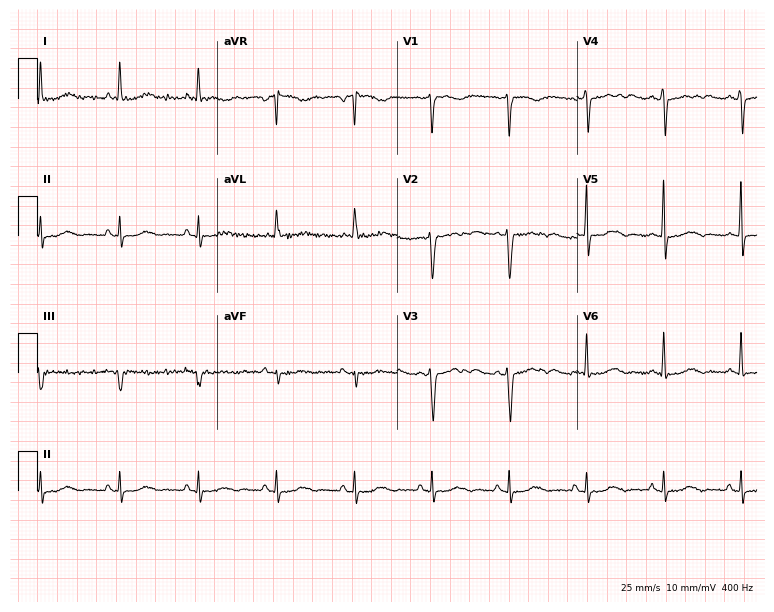
ECG — a 47-year-old female patient. Screened for six findings — first-degree AV block, right bundle branch block (RBBB), left bundle branch block (LBBB), sinus bradycardia, atrial fibrillation (AF), sinus tachycardia — none is recorded. Other findings, if any, are not listed.